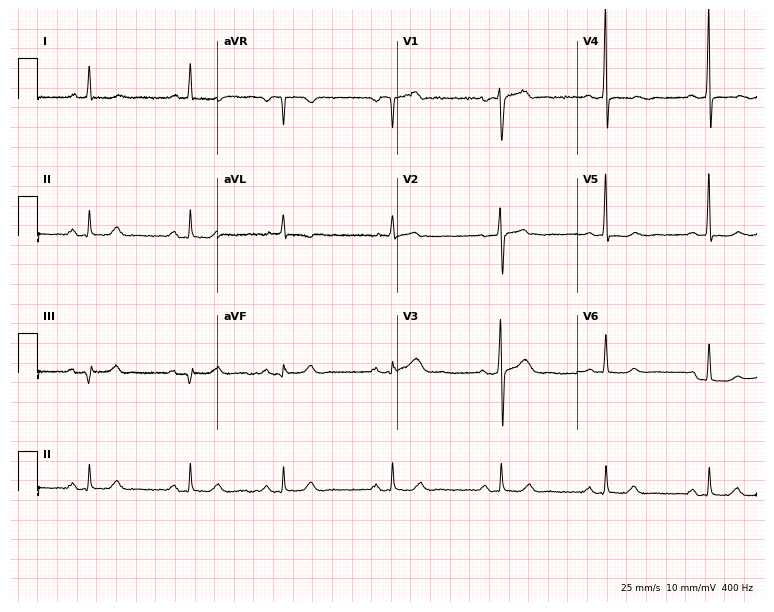
12-lead ECG from a male, 69 years old (7.3-second recording at 400 Hz). No first-degree AV block, right bundle branch block (RBBB), left bundle branch block (LBBB), sinus bradycardia, atrial fibrillation (AF) or sinus tachycardia recorded for this tracing.